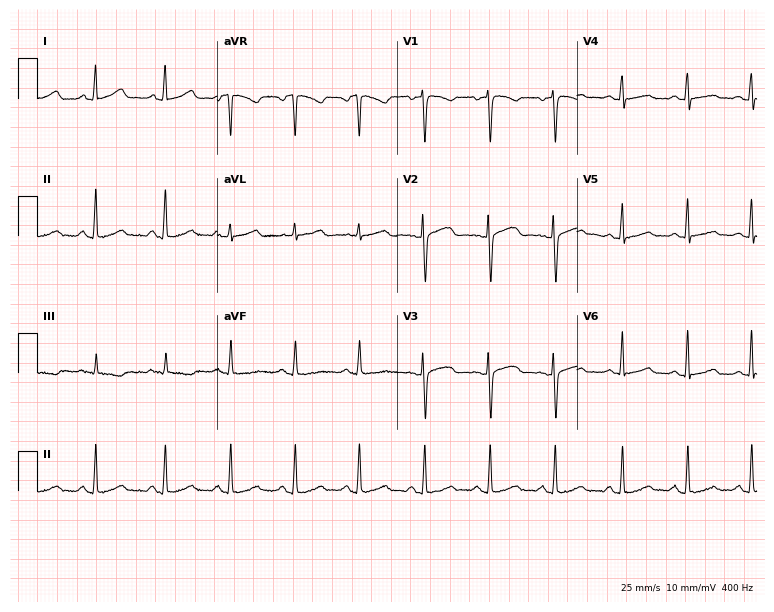
Electrocardiogram (7.3-second recording at 400 Hz), a 33-year-old female patient. Overall reading on record: normal ECG.